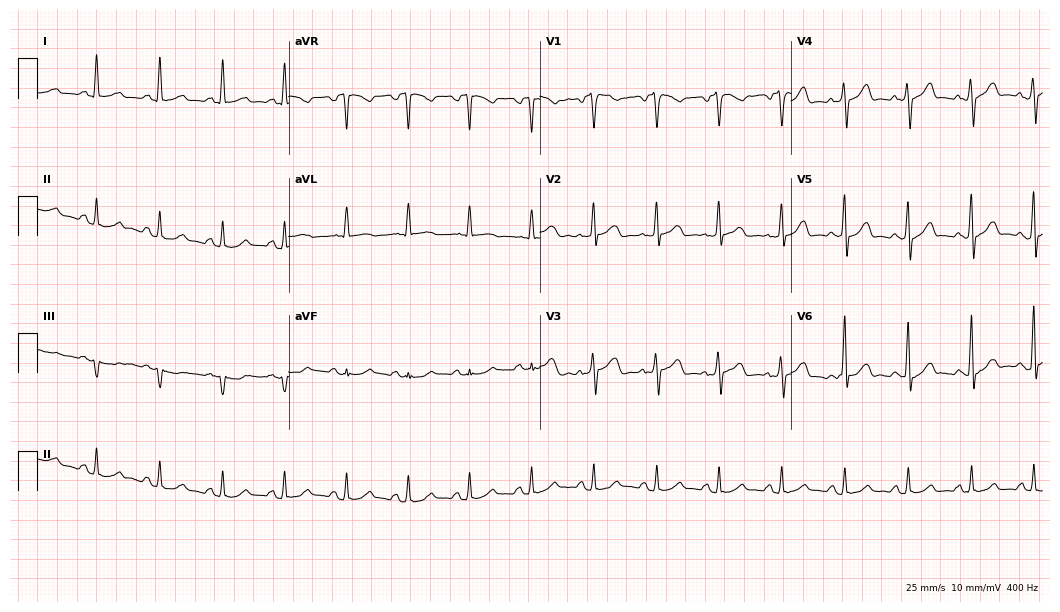
ECG (10.2-second recording at 400 Hz) — a 46-year-old female. Screened for six findings — first-degree AV block, right bundle branch block, left bundle branch block, sinus bradycardia, atrial fibrillation, sinus tachycardia — none is recorded.